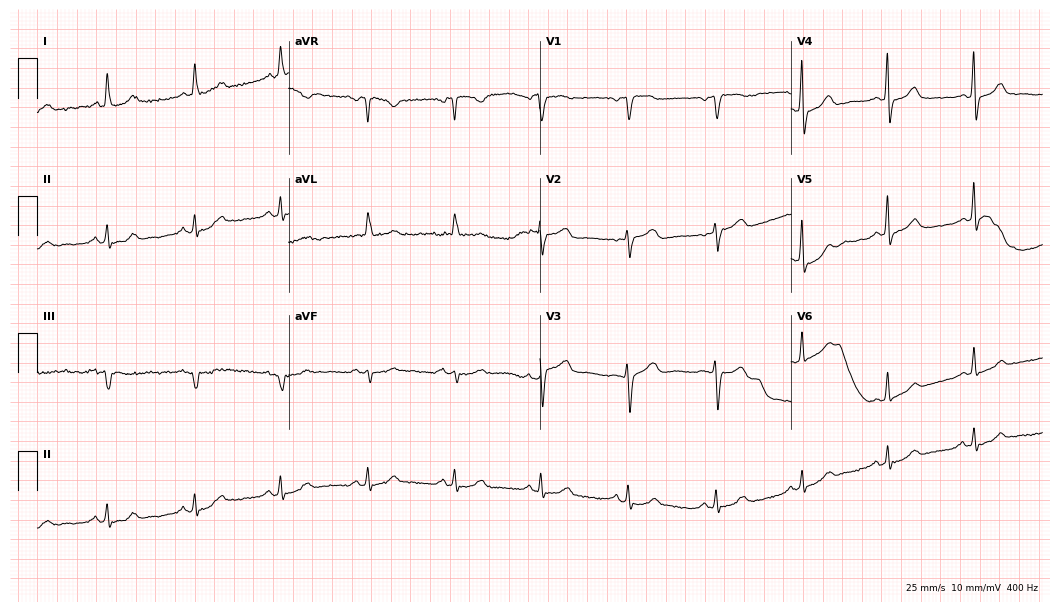
12-lead ECG (10.2-second recording at 400 Hz) from an 80-year-old female. Labelled as a normal ECG.